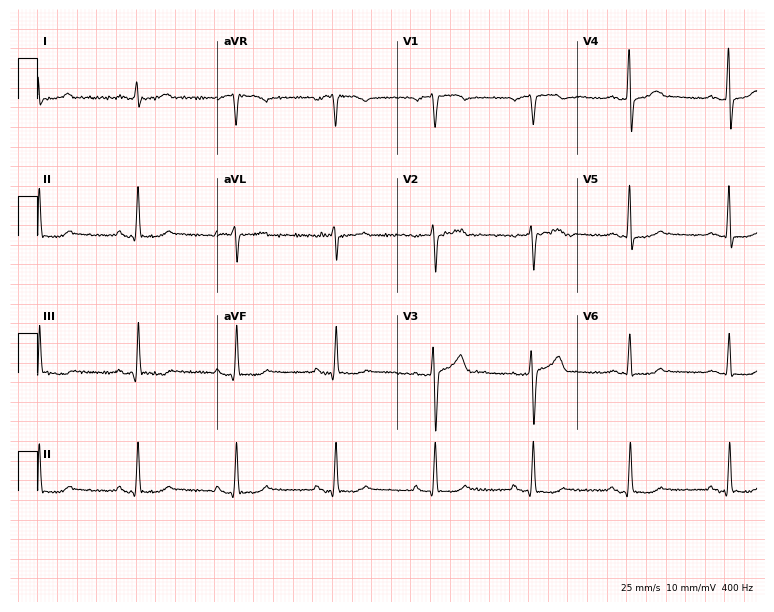
12-lead ECG from a male, 69 years old. Recorded interpretation: within normal limits.